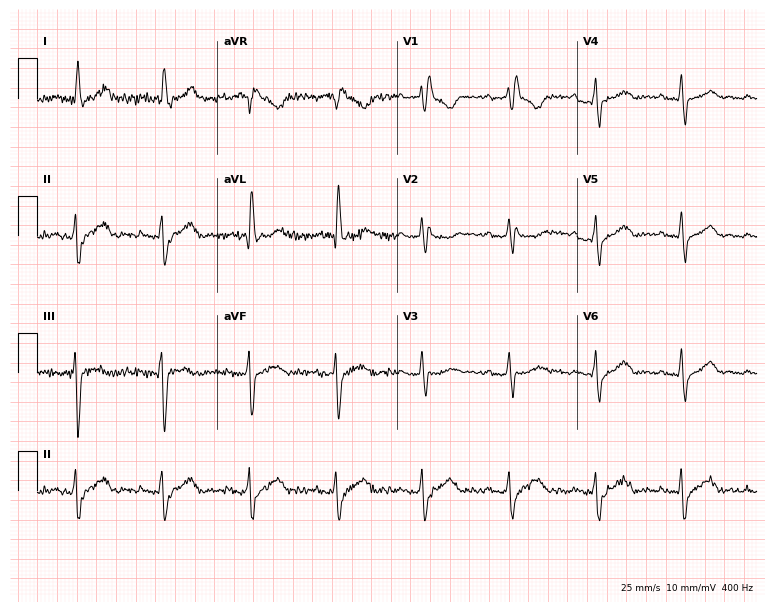
Electrocardiogram (7.3-second recording at 400 Hz), a female, 73 years old. Of the six screened findings (first-degree AV block, right bundle branch block, left bundle branch block, sinus bradycardia, atrial fibrillation, sinus tachycardia), none is recorded. Findings outside these six are not listed.